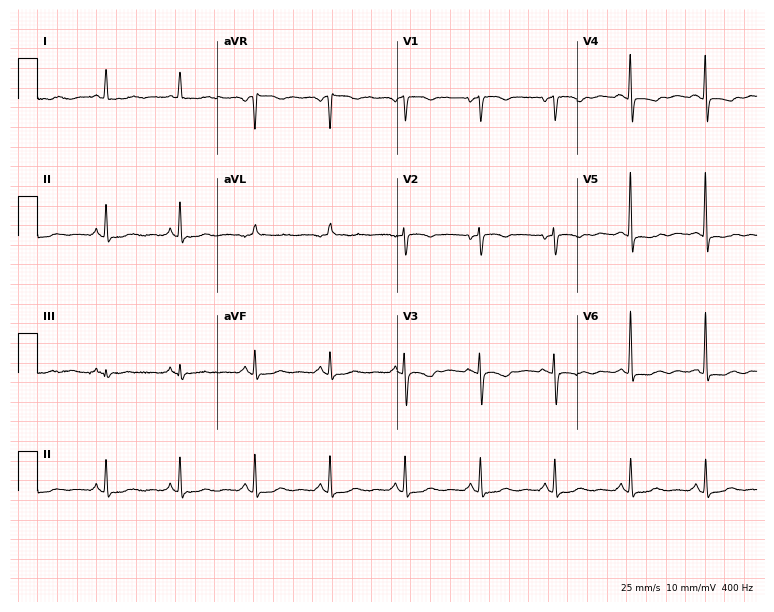
Electrocardiogram (7.3-second recording at 400 Hz), a 73-year-old woman. Of the six screened findings (first-degree AV block, right bundle branch block, left bundle branch block, sinus bradycardia, atrial fibrillation, sinus tachycardia), none is recorded.